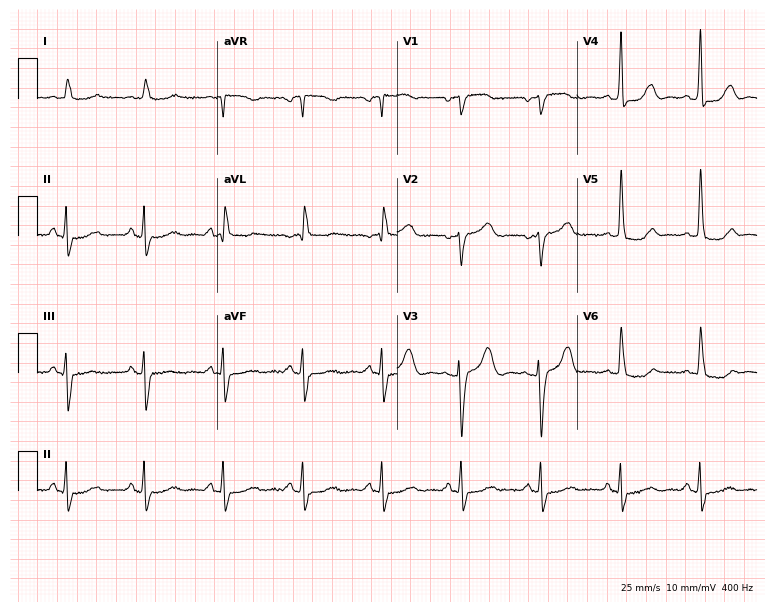
12-lead ECG from an 81-year-old female. No first-degree AV block, right bundle branch block, left bundle branch block, sinus bradycardia, atrial fibrillation or sinus tachycardia recorded for this tracing. Other findings, if any, are not listed.